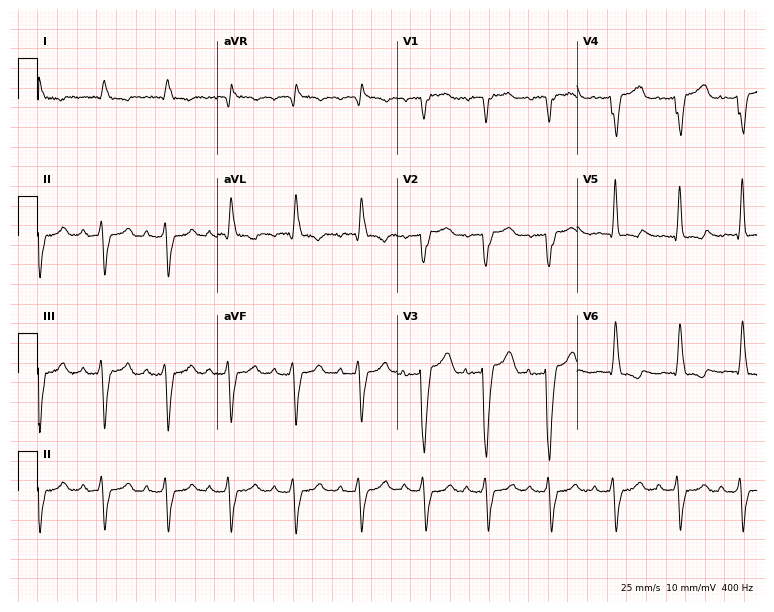
Standard 12-lead ECG recorded from a man, 82 years old (7.3-second recording at 400 Hz). None of these six findings is recorded: first-degree AV block, right bundle branch block, left bundle branch block, sinus bradycardia, atrial fibrillation, sinus tachycardia. Other findings, if any, are not listed.